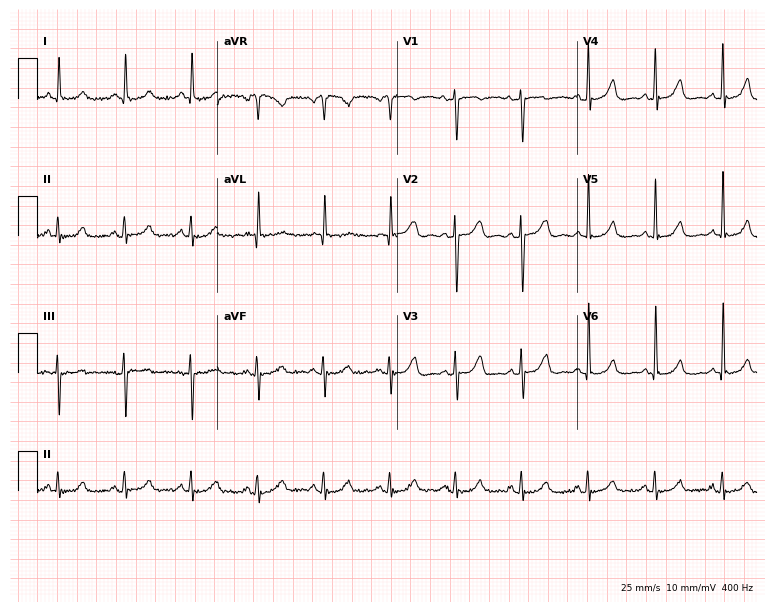
12-lead ECG from an 82-year-old female (7.3-second recording at 400 Hz). No first-degree AV block, right bundle branch block, left bundle branch block, sinus bradycardia, atrial fibrillation or sinus tachycardia recorded for this tracing.